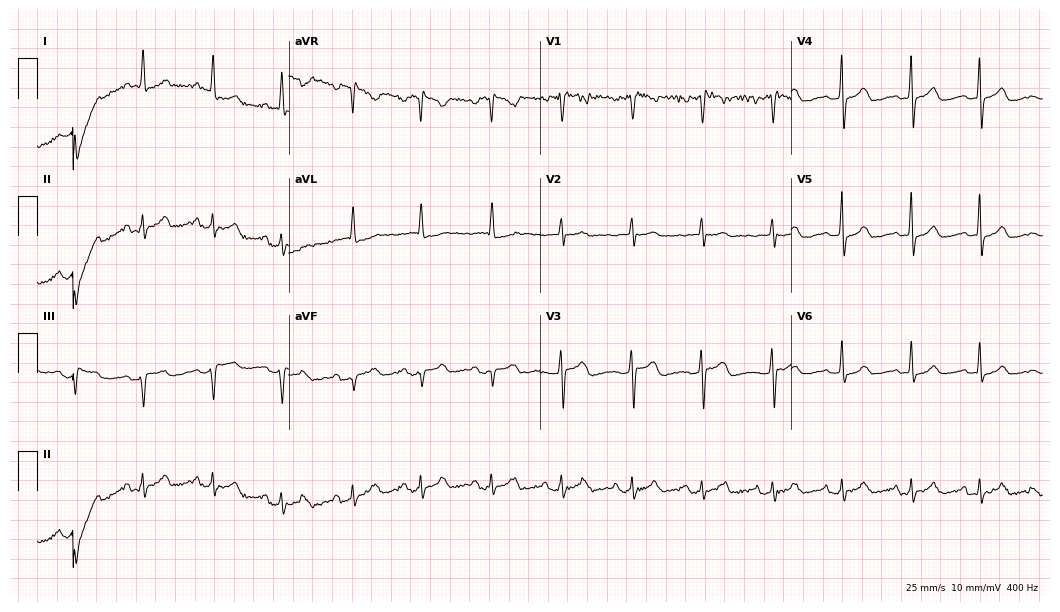
Resting 12-lead electrocardiogram (10.2-second recording at 400 Hz). Patient: a woman, 62 years old. Read as a normal ECG.